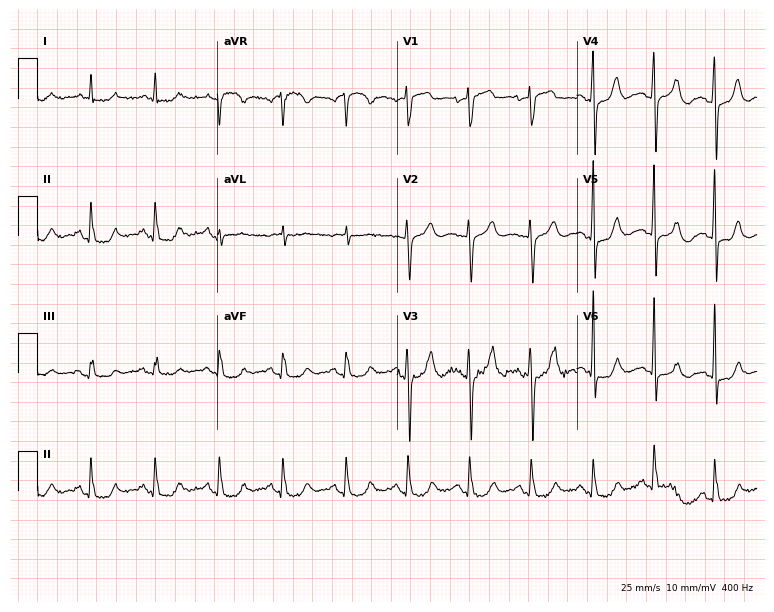
ECG (7.3-second recording at 400 Hz) — a 74-year-old male. Labelled as a normal ECG.